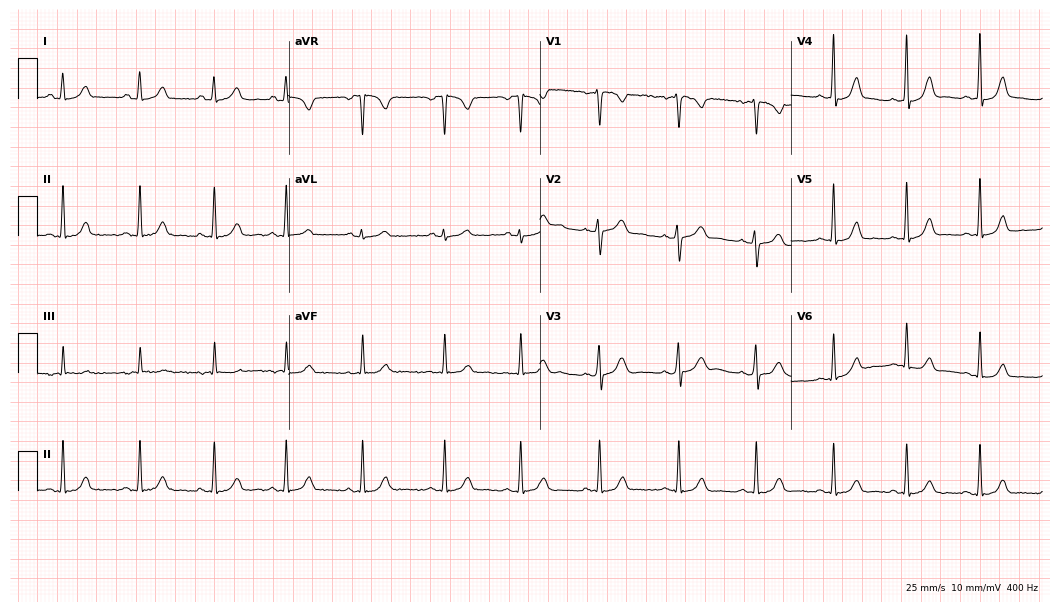
Electrocardiogram (10.2-second recording at 400 Hz), a female patient, 24 years old. Overall reading on record: normal ECG.